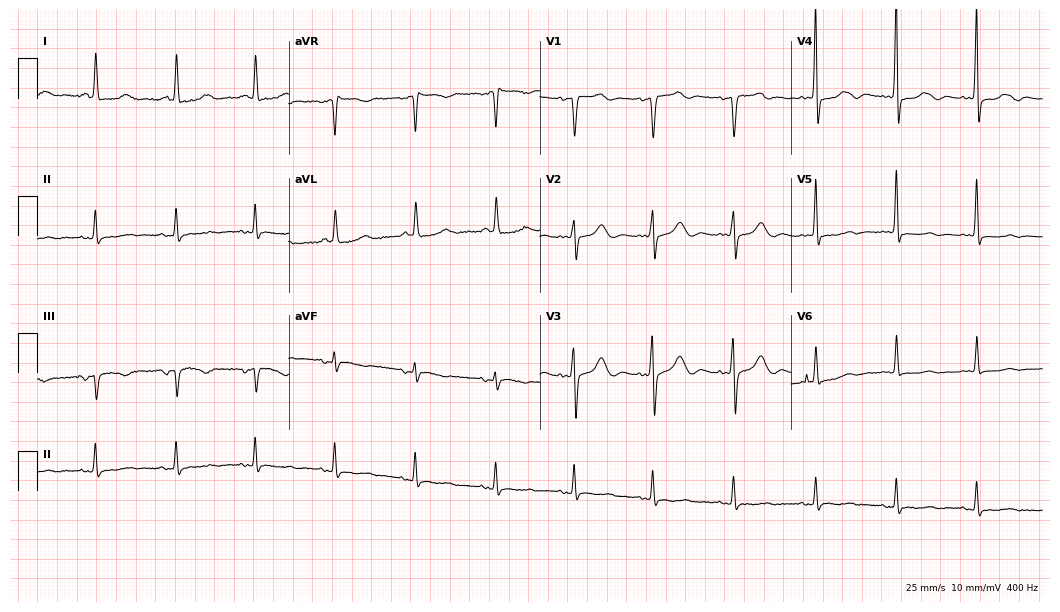
Standard 12-lead ECG recorded from an 84-year-old female (10.2-second recording at 400 Hz). None of these six findings is recorded: first-degree AV block, right bundle branch block (RBBB), left bundle branch block (LBBB), sinus bradycardia, atrial fibrillation (AF), sinus tachycardia. Only these six findings were labelled.